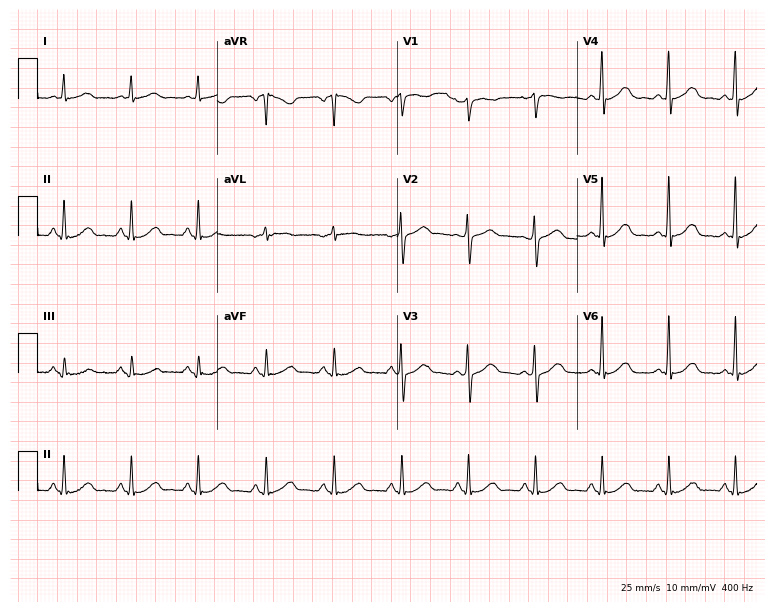
12-lead ECG (7.3-second recording at 400 Hz) from a 47-year-old male patient. Labelled as a normal ECG.